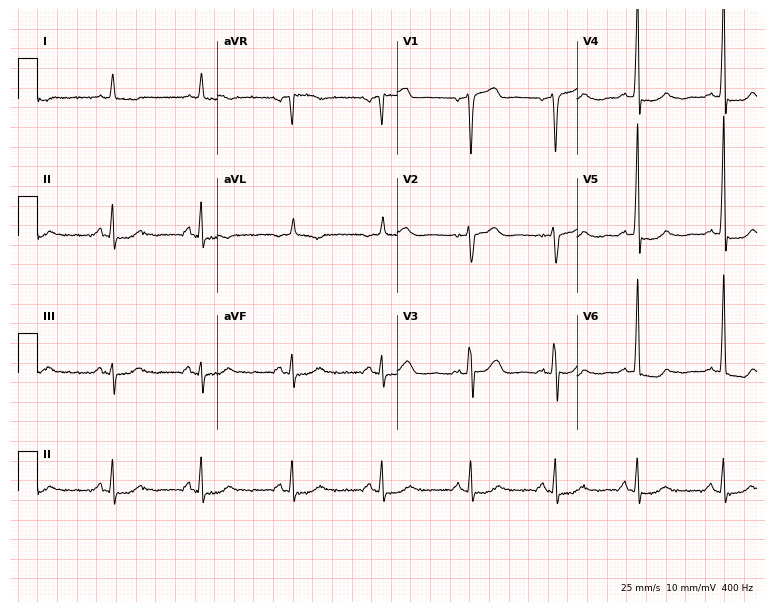
Resting 12-lead electrocardiogram (7.3-second recording at 400 Hz). Patient: a 74-year-old man. None of these six findings is recorded: first-degree AV block, right bundle branch block, left bundle branch block, sinus bradycardia, atrial fibrillation, sinus tachycardia. Findings outside these six are not listed.